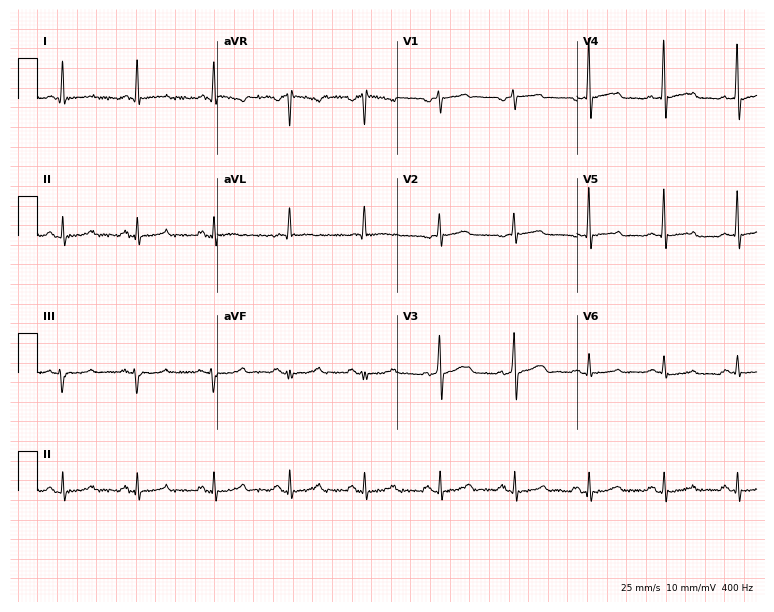
Resting 12-lead electrocardiogram. Patient: a 58-year-old woman. None of these six findings is recorded: first-degree AV block, right bundle branch block, left bundle branch block, sinus bradycardia, atrial fibrillation, sinus tachycardia.